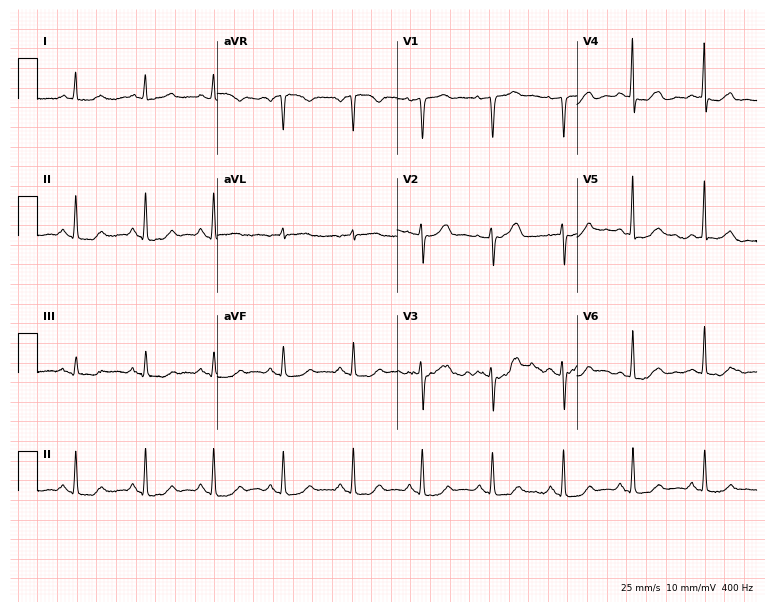
12-lead ECG (7.3-second recording at 400 Hz) from a 57-year-old female. Labelled as a normal ECG.